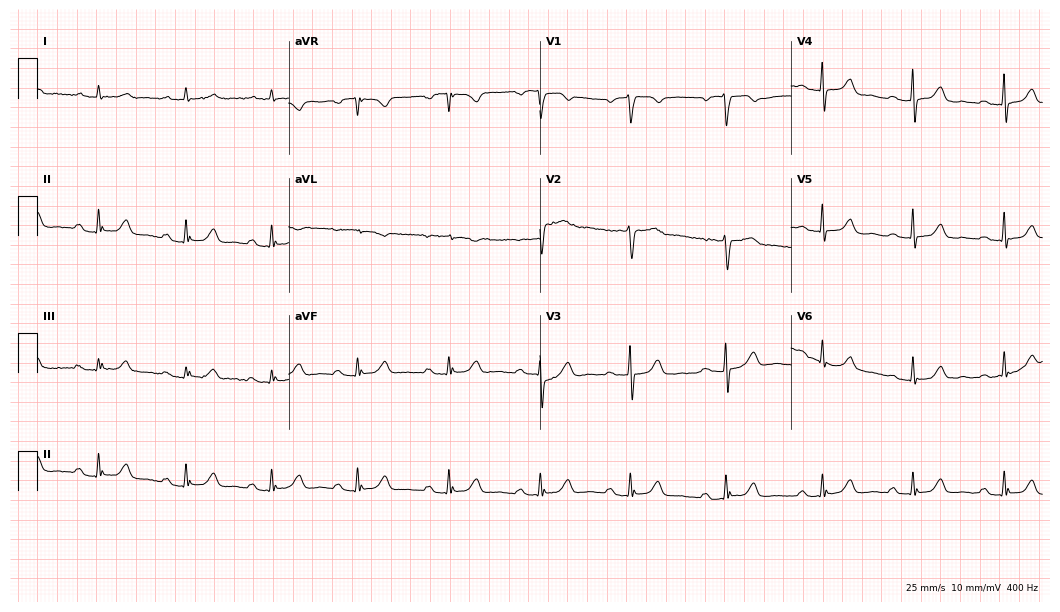
ECG — a female, 63 years old. Findings include first-degree AV block.